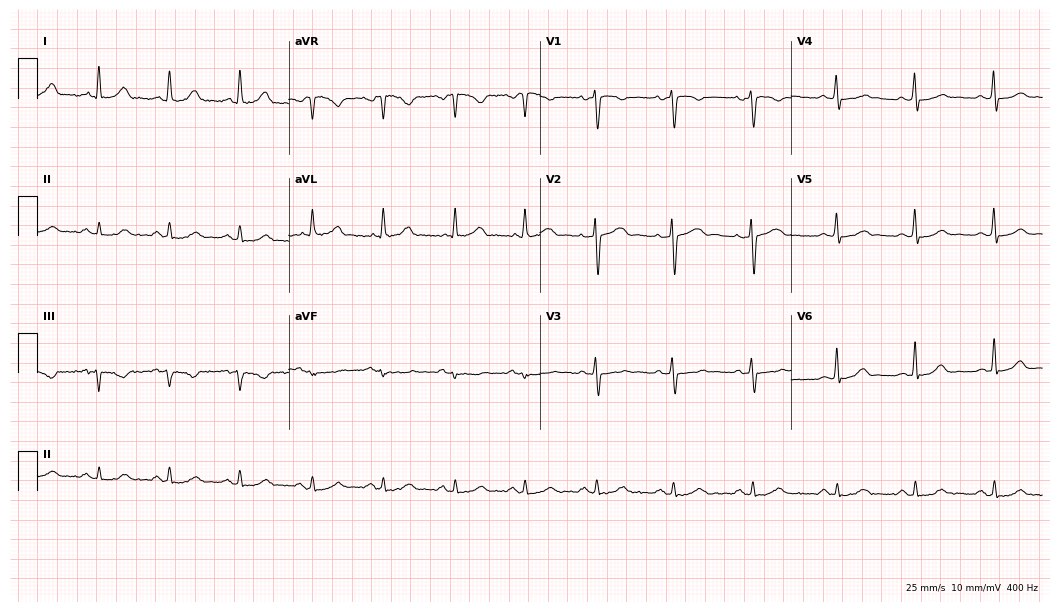
12-lead ECG from a 44-year-old woman. Recorded interpretation: within normal limits.